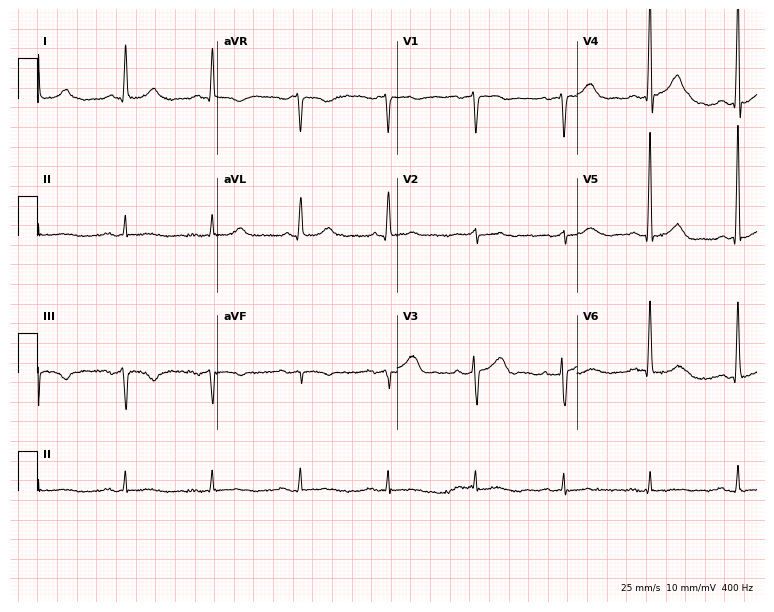
Standard 12-lead ECG recorded from a man, 85 years old. None of these six findings is recorded: first-degree AV block, right bundle branch block (RBBB), left bundle branch block (LBBB), sinus bradycardia, atrial fibrillation (AF), sinus tachycardia. Other findings, if any, are not listed.